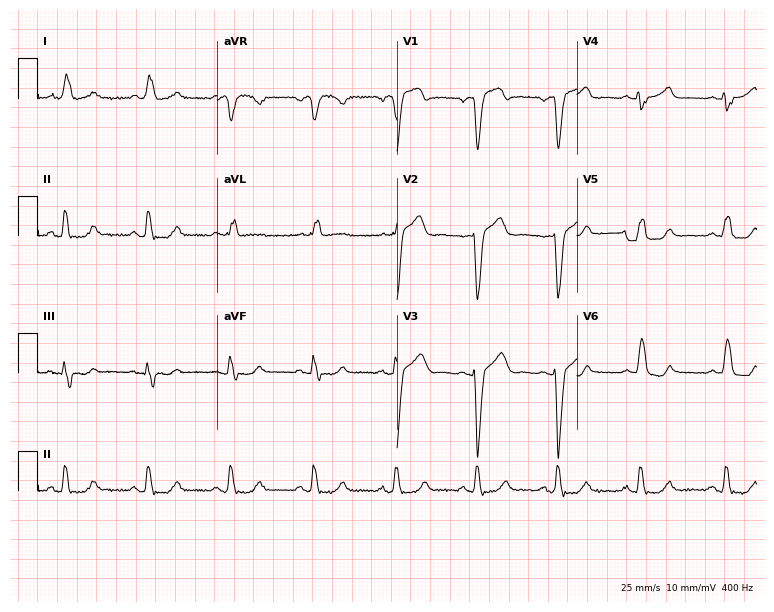
ECG — a 59-year-old female patient. Findings include left bundle branch block.